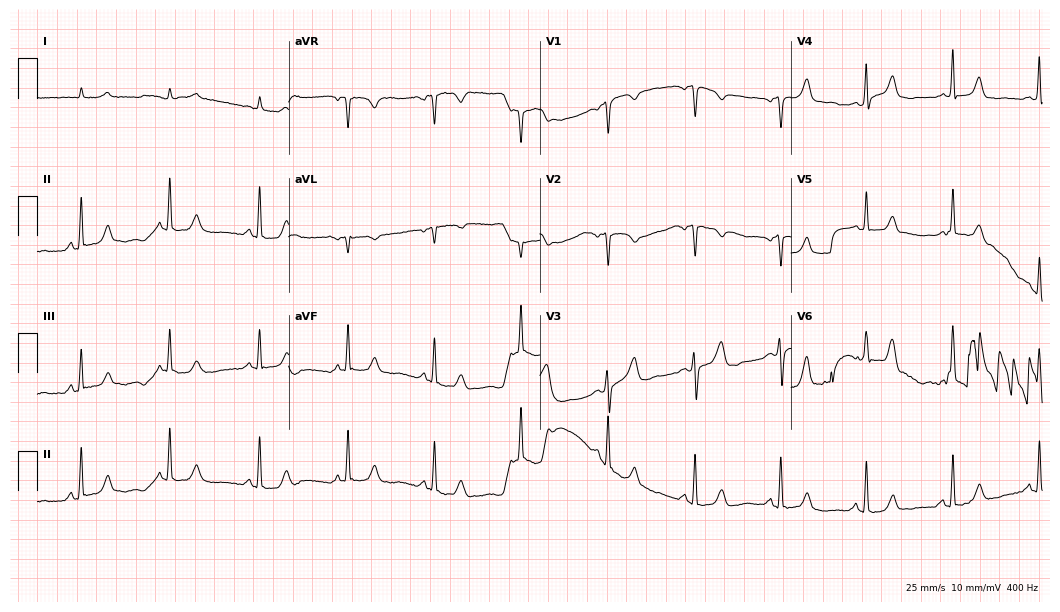
12-lead ECG from a female, 81 years old. No first-degree AV block, right bundle branch block, left bundle branch block, sinus bradycardia, atrial fibrillation or sinus tachycardia recorded for this tracing. Other findings, if any, are not listed.